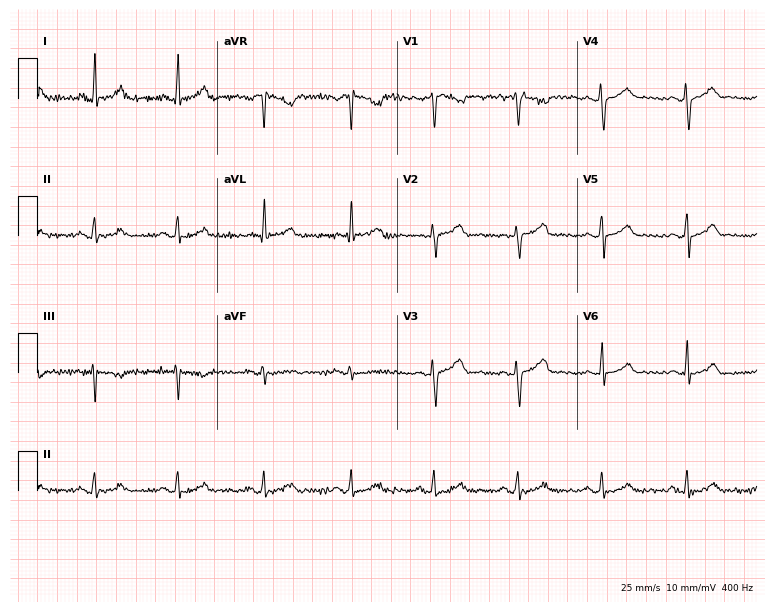
12-lead ECG from a female, 24 years old. Recorded interpretation: within normal limits.